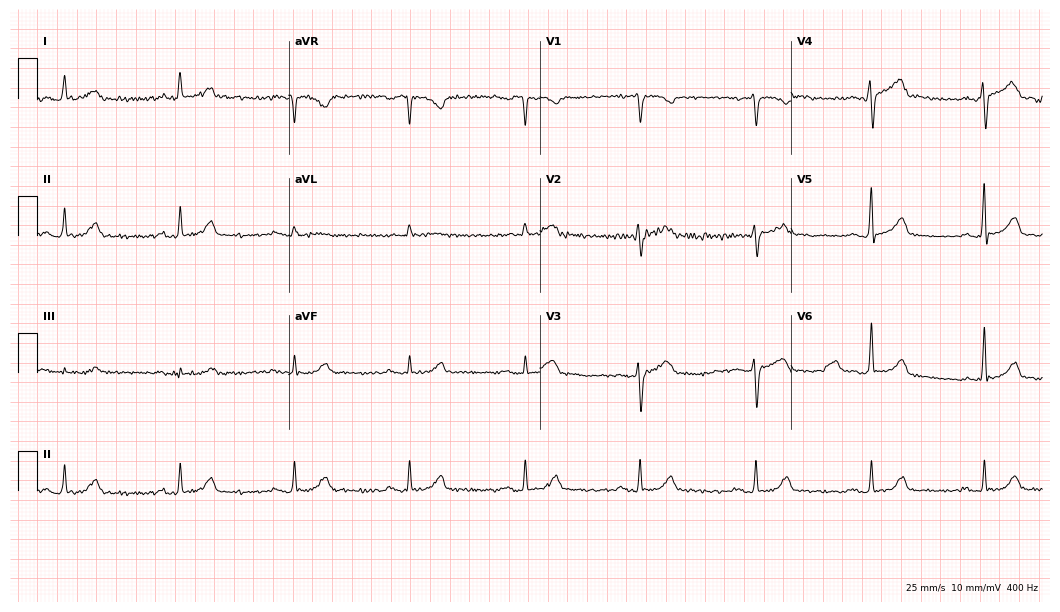
ECG (10.2-second recording at 400 Hz) — a 67-year-old man. Labelled as a normal ECG.